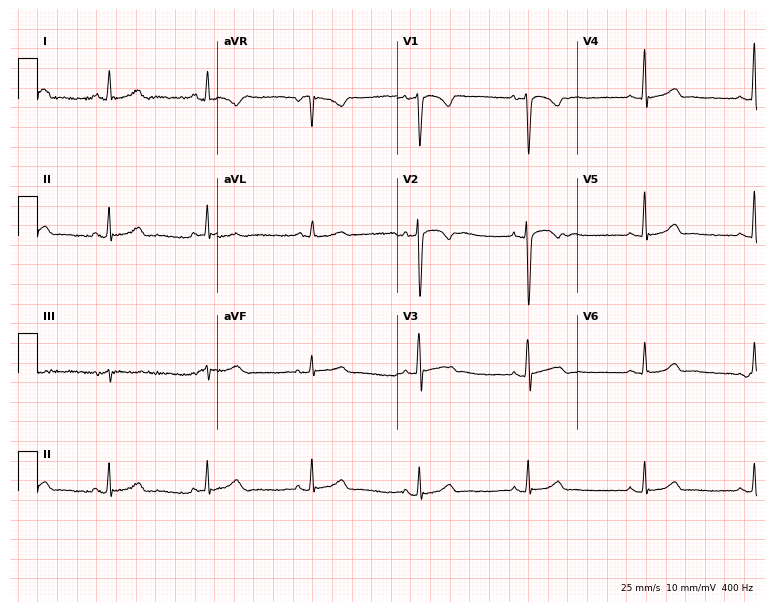
Resting 12-lead electrocardiogram. Patient: a 30-year-old female. Read as a normal ECG.